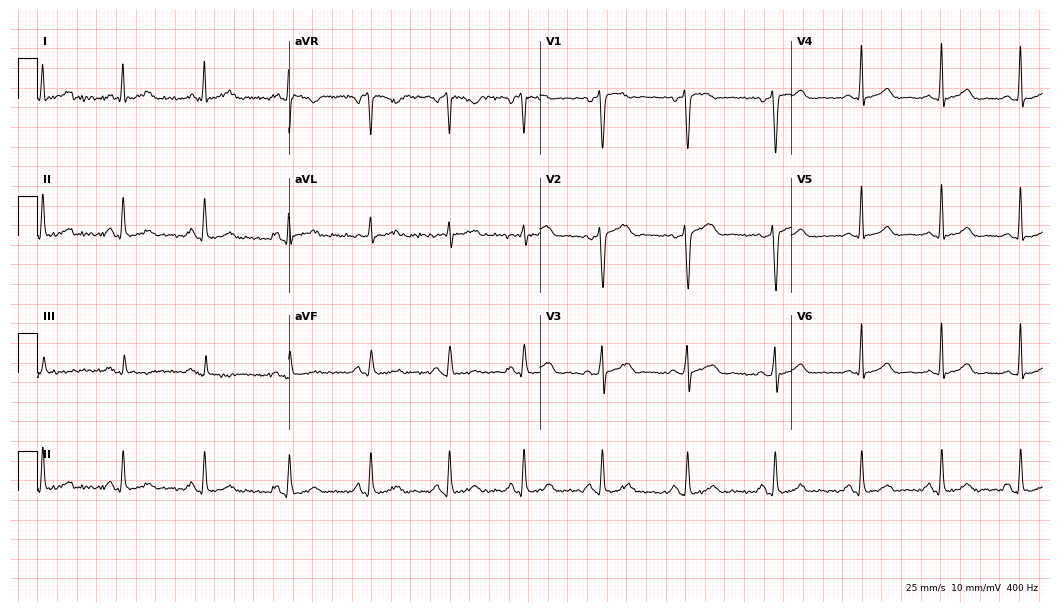
Resting 12-lead electrocardiogram. Patient: a woman, 37 years old. None of these six findings is recorded: first-degree AV block, right bundle branch block, left bundle branch block, sinus bradycardia, atrial fibrillation, sinus tachycardia.